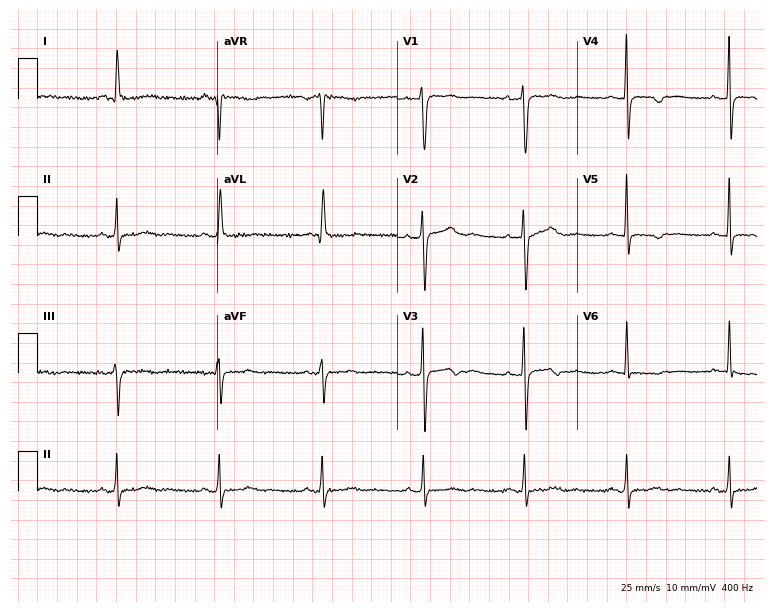
ECG — a 51-year-old female patient. Screened for six findings — first-degree AV block, right bundle branch block (RBBB), left bundle branch block (LBBB), sinus bradycardia, atrial fibrillation (AF), sinus tachycardia — none is recorded. Findings outside these six are not listed.